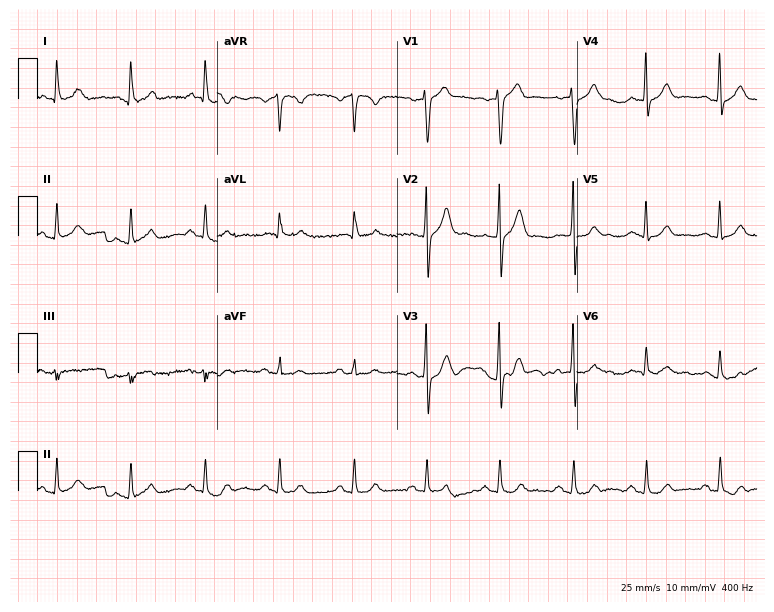
12-lead ECG from a 49-year-old male. Recorded interpretation: within normal limits.